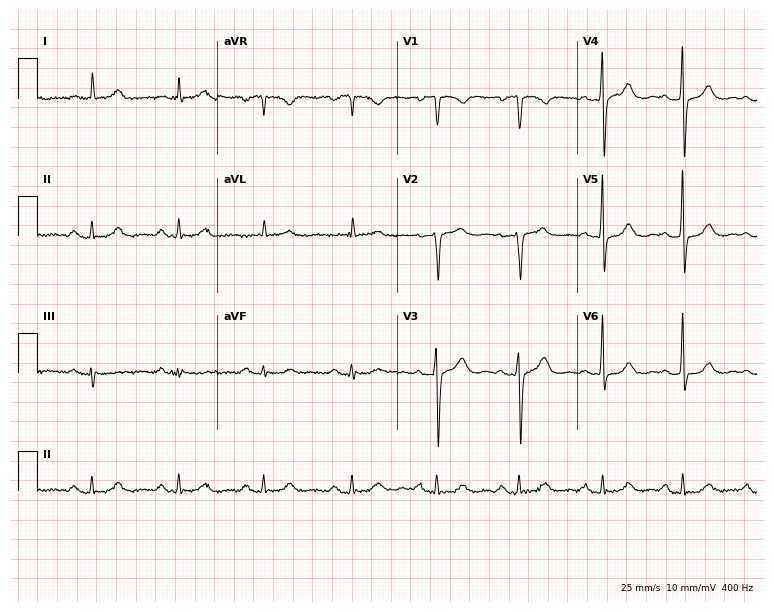
Electrocardiogram (7.3-second recording at 400 Hz), a female patient, 70 years old. Of the six screened findings (first-degree AV block, right bundle branch block, left bundle branch block, sinus bradycardia, atrial fibrillation, sinus tachycardia), none is recorded. Only these six findings were labelled.